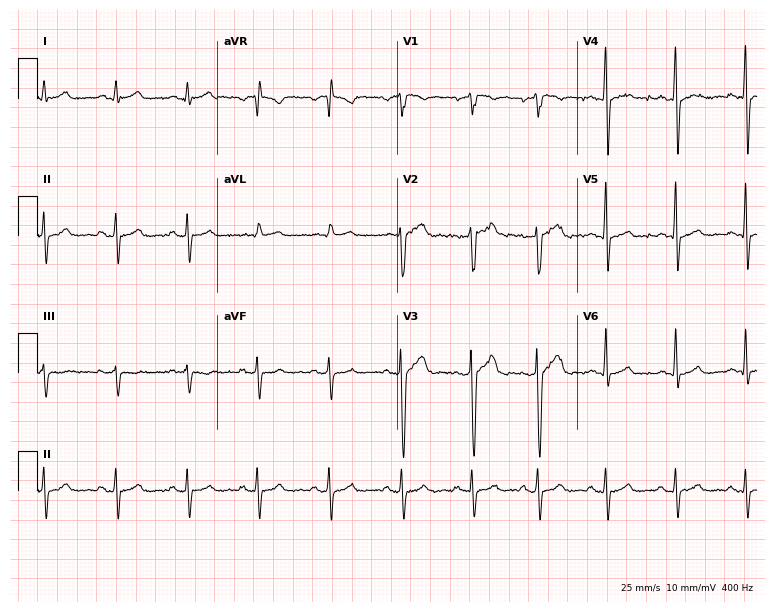
12-lead ECG from a 26-year-old male. Recorded interpretation: within normal limits.